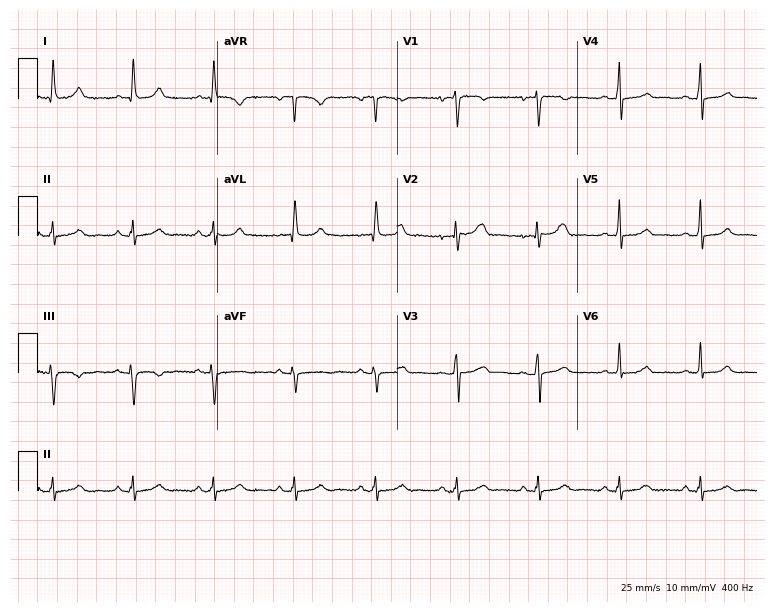
ECG (7.3-second recording at 400 Hz) — a 43-year-old woman. Screened for six findings — first-degree AV block, right bundle branch block, left bundle branch block, sinus bradycardia, atrial fibrillation, sinus tachycardia — none is recorded.